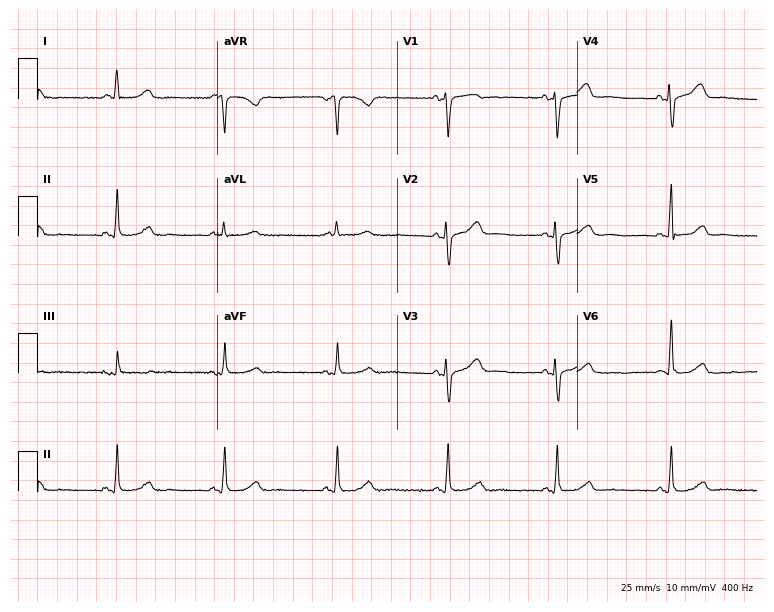
Resting 12-lead electrocardiogram (7.3-second recording at 400 Hz). Patient: a 58-year-old female. None of these six findings is recorded: first-degree AV block, right bundle branch block, left bundle branch block, sinus bradycardia, atrial fibrillation, sinus tachycardia. Other findings, if any, are not listed.